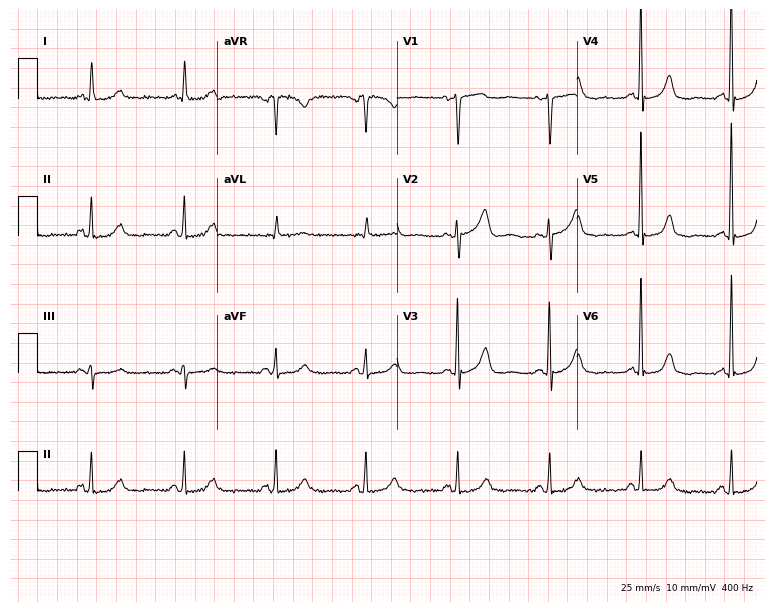
12-lead ECG from a female, 62 years old (7.3-second recording at 400 Hz). No first-degree AV block, right bundle branch block, left bundle branch block, sinus bradycardia, atrial fibrillation or sinus tachycardia recorded for this tracing. Other findings, if any, are not listed.